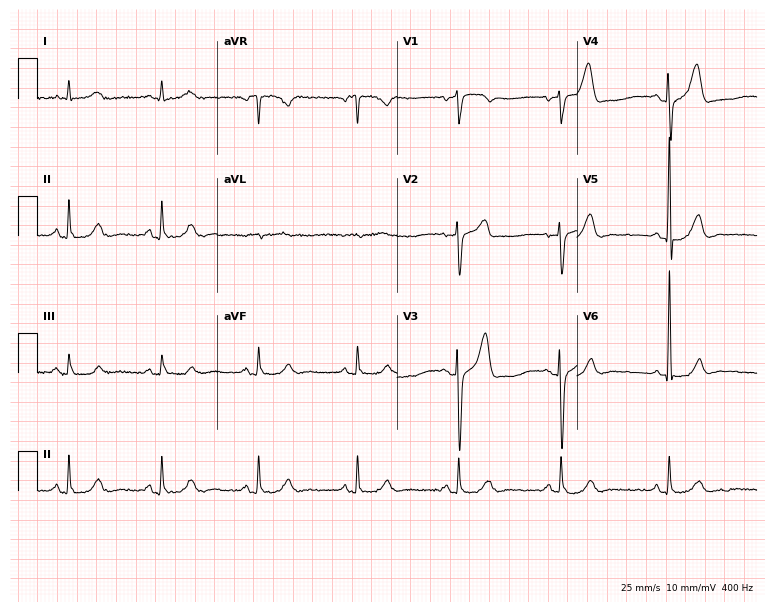
12-lead ECG (7.3-second recording at 400 Hz) from a 76-year-old male patient. Labelled as a normal ECG.